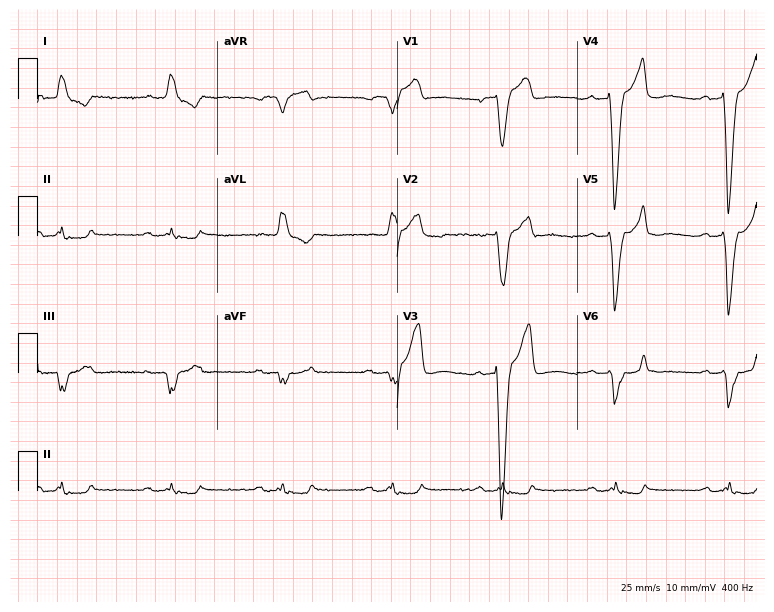
Standard 12-lead ECG recorded from a male, 81 years old (7.3-second recording at 400 Hz). The tracing shows first-degree AV block, left bundle branch block (LBBB).